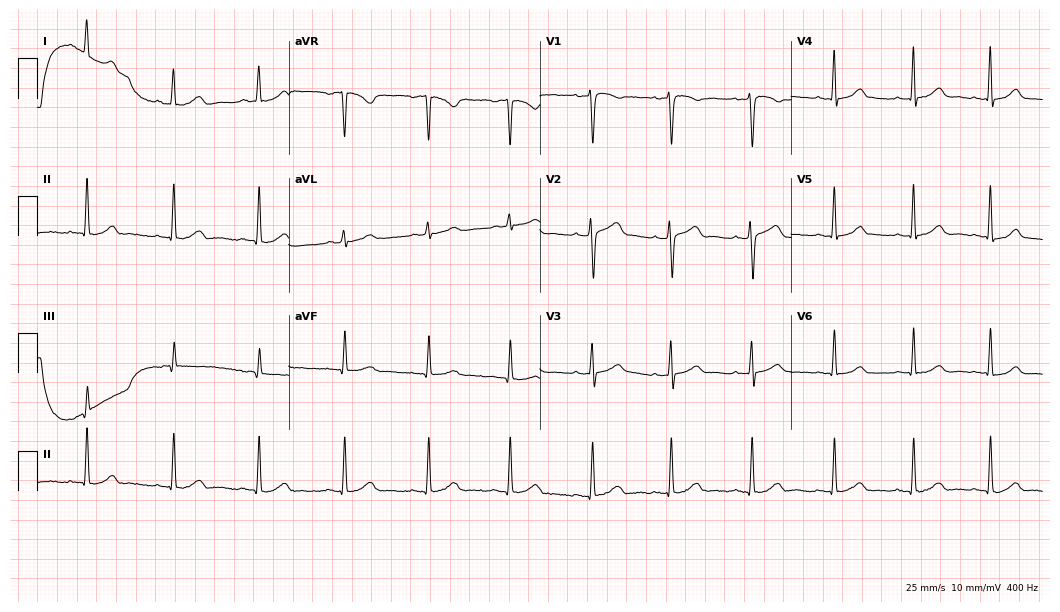
12-lead ECG from a female, 40 years old (10.2-second recording at 400 Hz). Recorded interpretation: within normal limits.